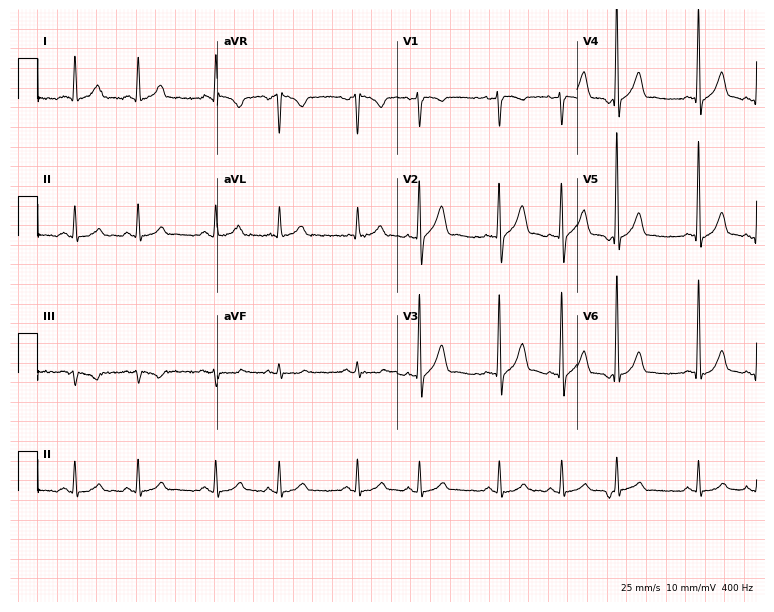
Resting 12-lead electrocardiogram. Patient: a man, 59 years old. None of these six findings is recorded: first-degree AV block, right bundle branch block (RBBB), left bundle branch block (LBBB), sinus bradycardia, atrial fibrillation (AF), sinus tachycardia. Other findings, if any, are not listed.